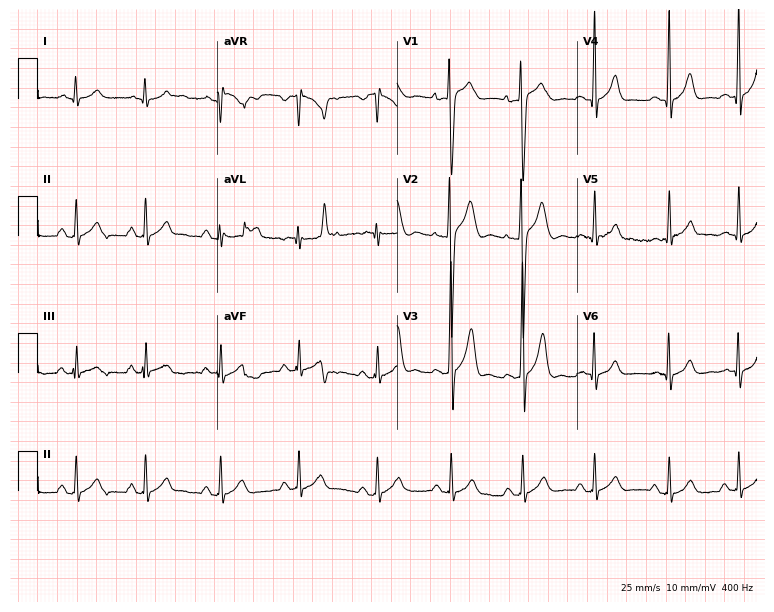
12-lead ECG (7.3-second recording at 400 Hz) from a male, 21 years old. Labelled as a normal ECG.